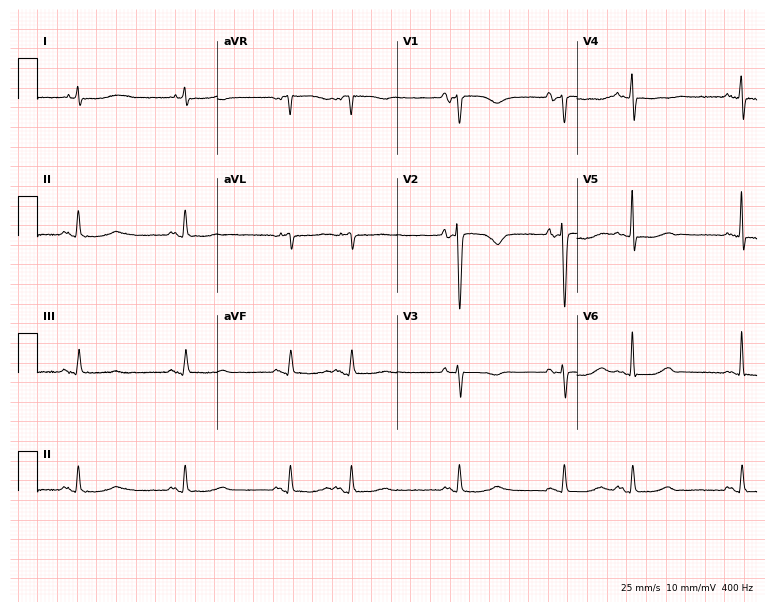
Electrocardiogram, a female, 68 years old. Of the six screened findings (first-degree AV block, right bundle branch block, left bundle branch block, sinus bradycardia, atrial fibrillation, sinus tachycardia), none is recorded.